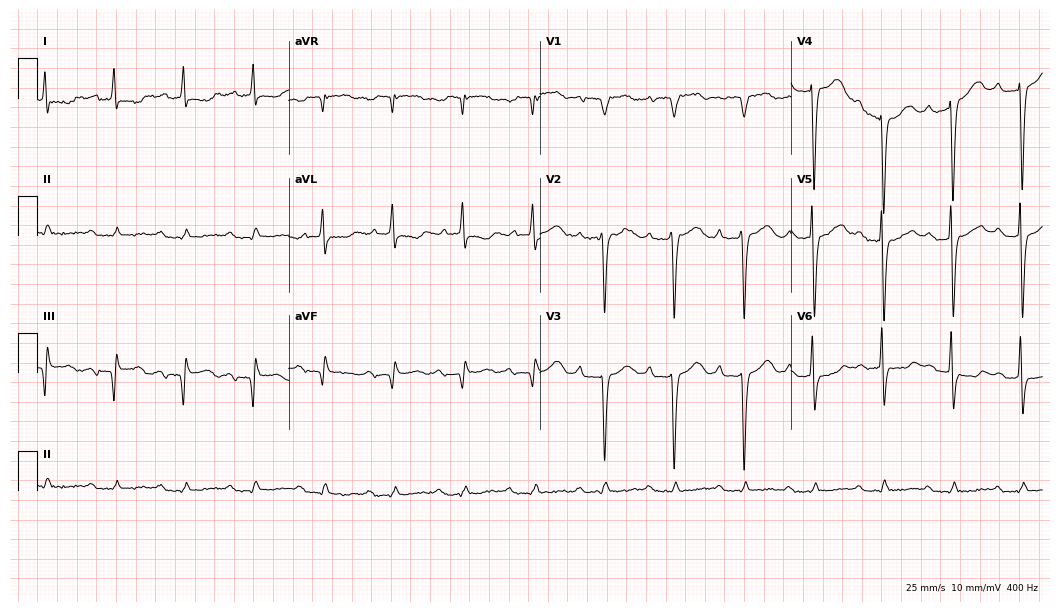
12-lead ECG from a female patient, 84 years old. Shows first-degree AV block.